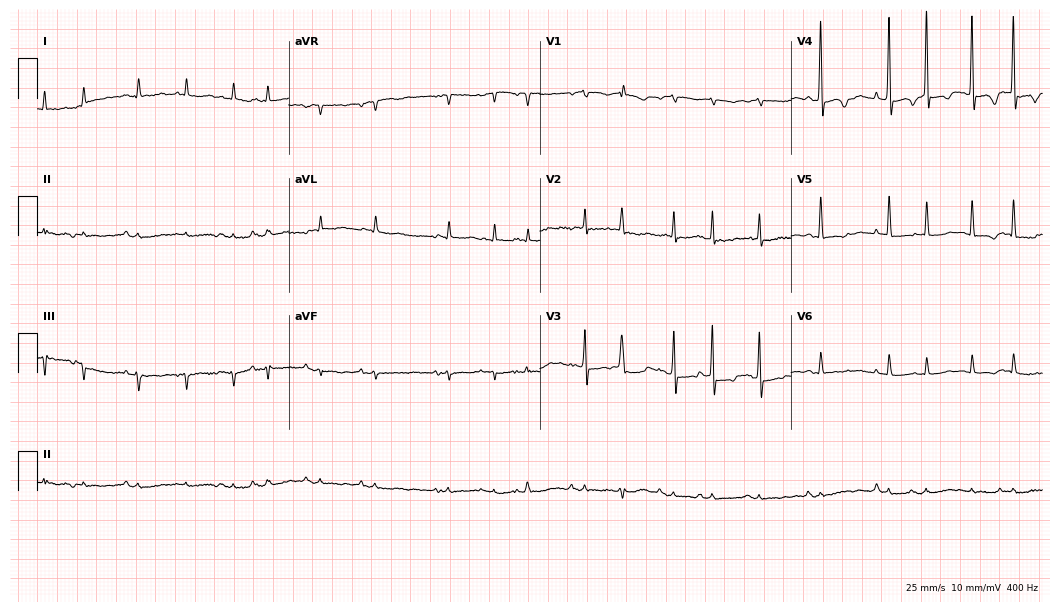
Standard 12-lead ECG recorded from a man, 83 years old. The tracing shows atrial fibrillation (AF), sinus tachycardia (a sinus rate of 100 beats per minute or more).